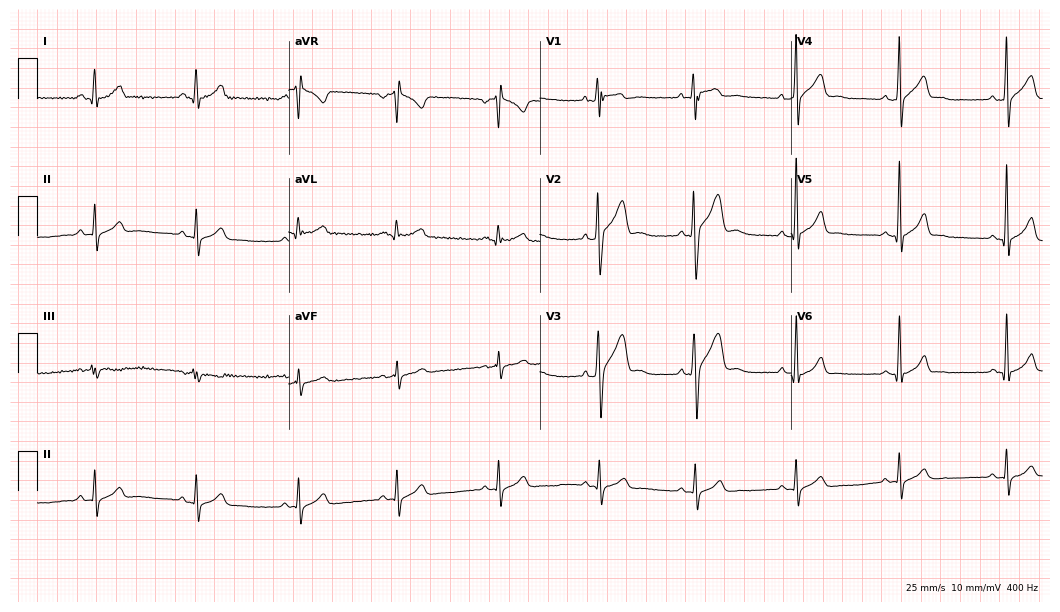
12-lead ECG from a man, 22 years old. No first-degree AV block, right bundle branch block (RBBB), left bundle branch block (LBBB), sinus bradycardia, atrial fibrillation (AF) or sinus tachycardia recorded for this tracing. Other findings, if any, are not listed.